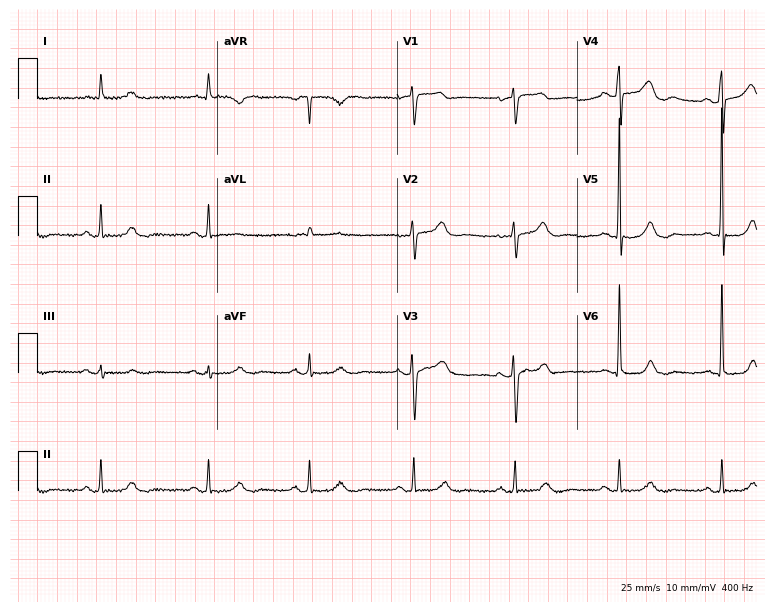
Standard 12-lead ECG recorded from a 75-year-old female (7.3-second recording at 400 Hz). None of these six findings is recorded: first-degree AV block, right bundle branch block (RBBB), left bundle branch block (LBBB), sinus bradycardia, atrial fibrillation (AF), sinus tachycardia. Findings outside these six are not listed.